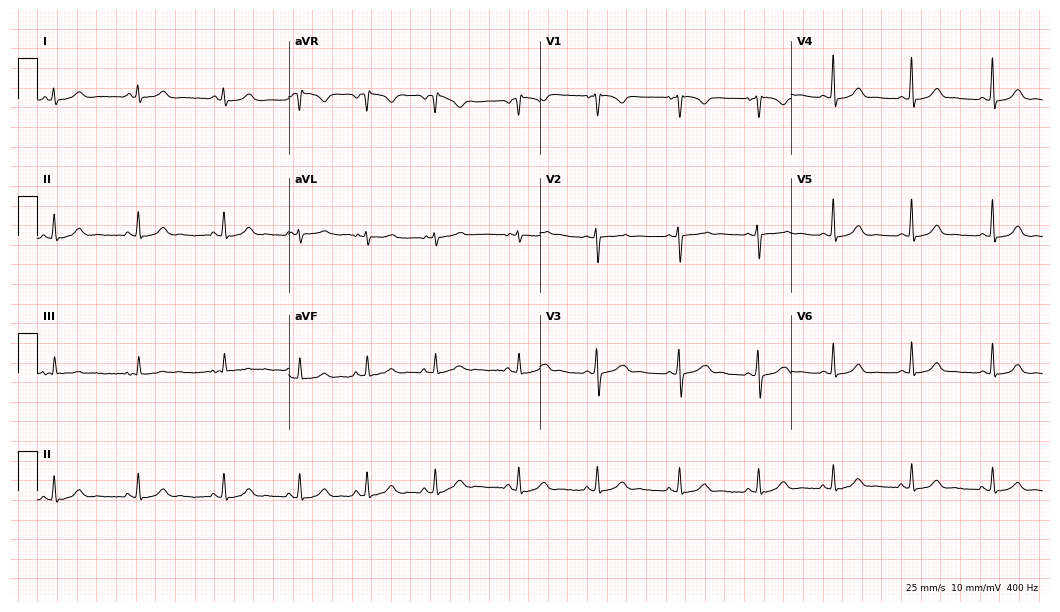
Standard 12-lead ECG recorded from a 29-year-old female (10.2-second recording at 400 Hz). Read as a normal ECG.